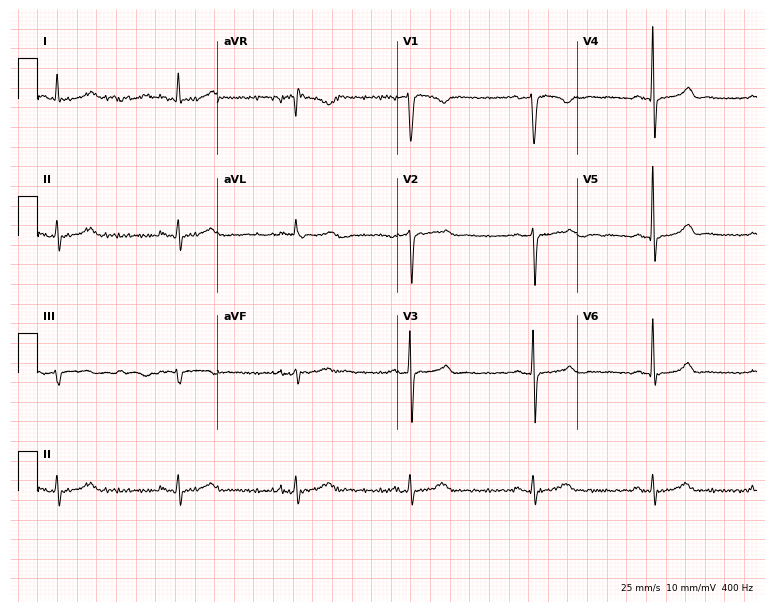
Standard 12-lead ECG recorded from a 63-year-old man (7.3-second recording at 400 Hz). None of these six findings is recorded: first-degree AV block, right bundle branch block, left bundle branch block, sinus bradycardia, atrial fibrillation, sinus tachycardia.